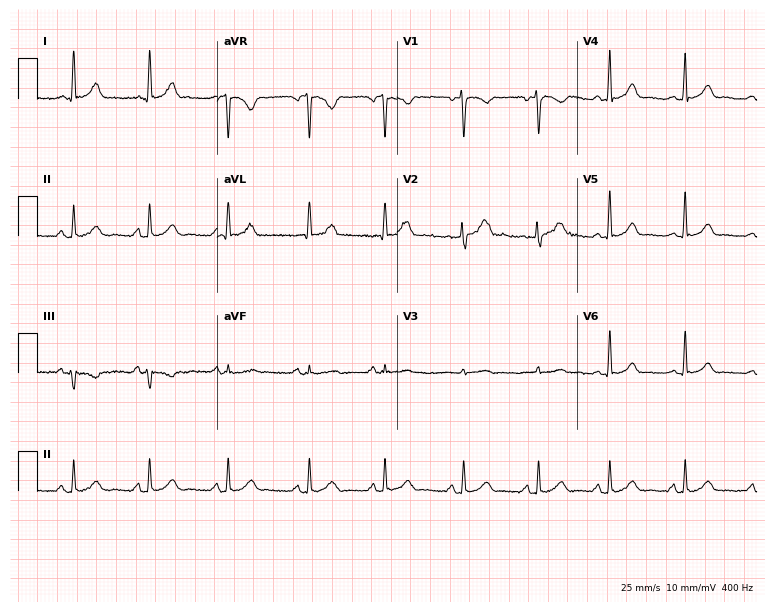
12-lead ECG from a woman, 33 years old (7.3-second recording at 400 Hz). No first-degree AV block, right bundle branch block (RBBB), left bundle branch block (LBBB), sinus bradycardia, atrial fibrillation (AF) or sinus tachycardia recorded for this tracing.